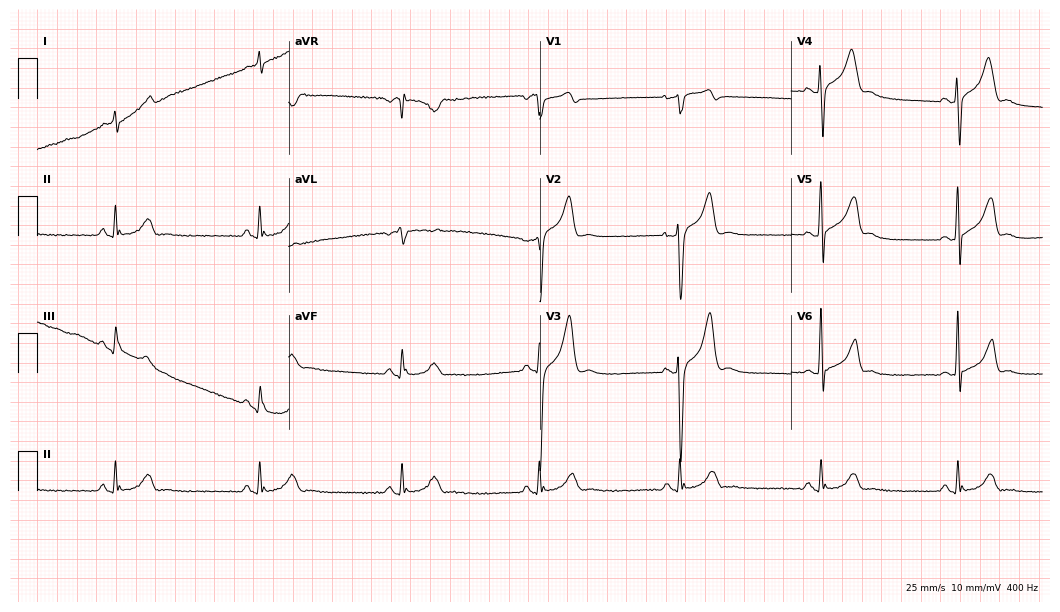
Standard 12-lead ECG recorded from a 46-year-old male (10.2-second recording at 400 Hz). The tracing shows sinus bradycardia (a sinus rate of 50 beats per minute or less).